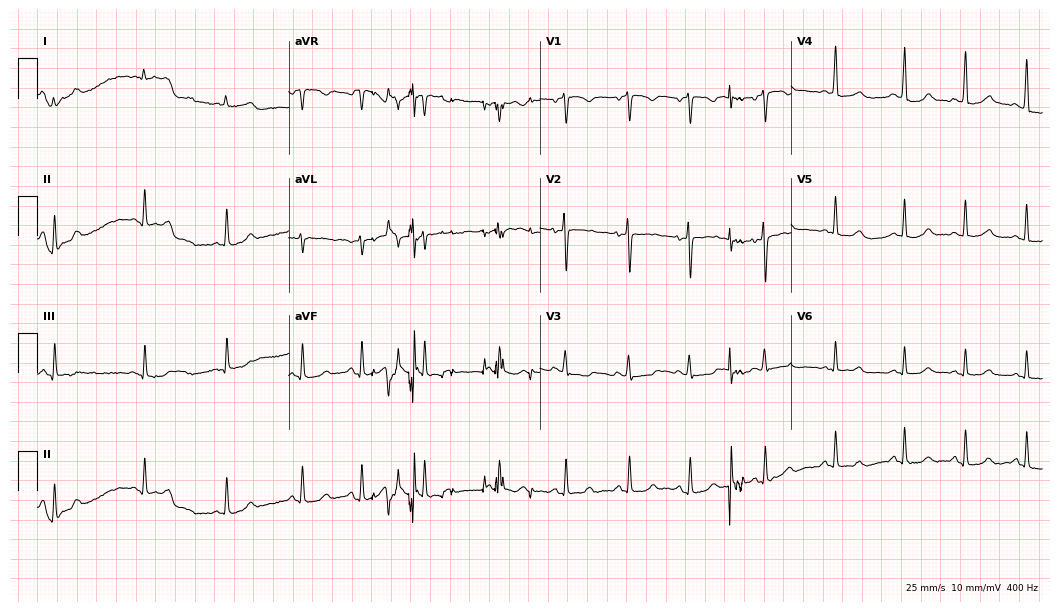
12-lead ECG from a 22-year-old female patient (10.2-second recording at 400 Hz). No first-degree AV block, right bundle branch block (RBBB), left bundle branch block (LBBB), sinus bradycardia, atrial fibrillation (AF) or sinus tachycardia recorded for this tracing. Other findings, if any, are not listed.